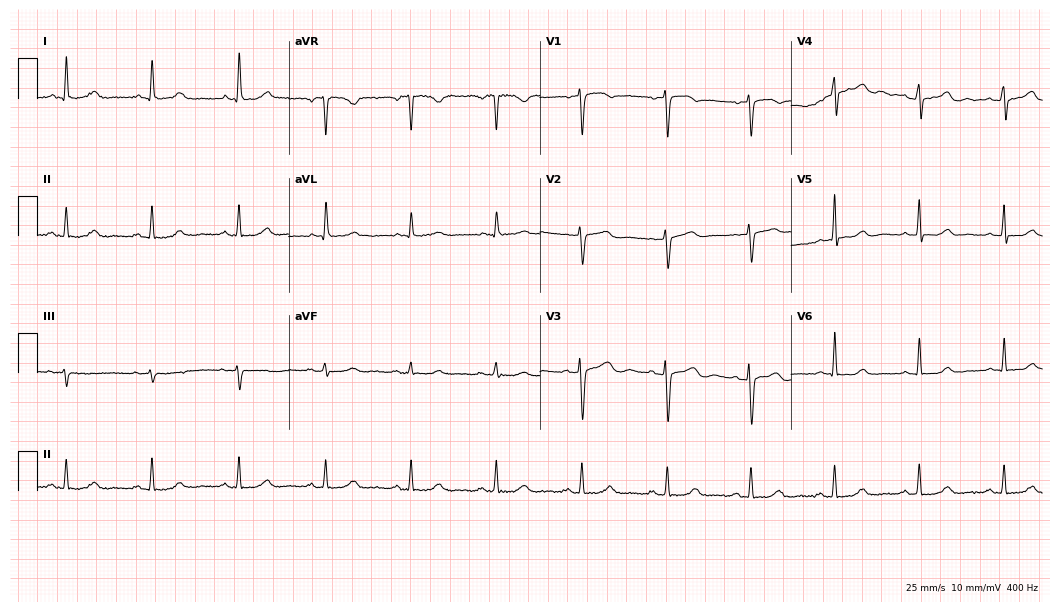
12-lead ECG from a 52-year-old female patient. Recorded interpretation: within normal limits.